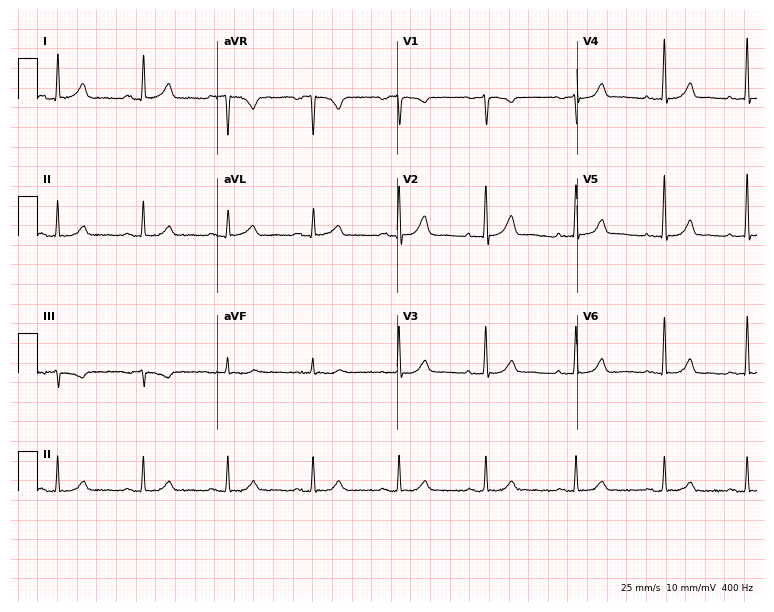
ECG — a 47-year-old female. Labelled as a normal ECG.